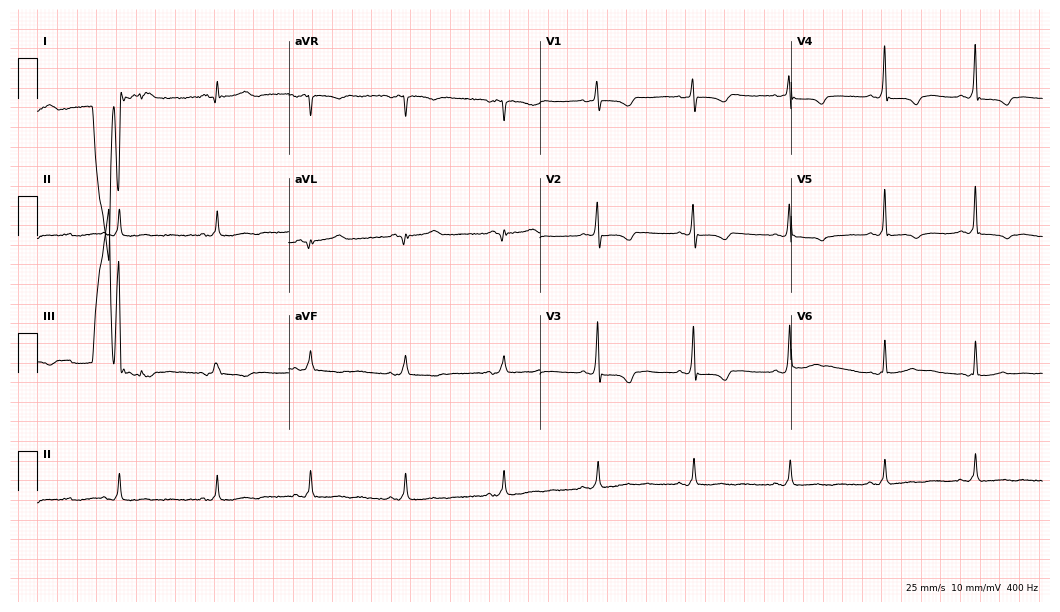
12-lead ECG (10.2-second recording at 400 Hz) from a 73-year-old woman. Screened for six findings — first-degree AV block, right bundle branch block, left bundle branch block, sinus bradycardia, atrial fibrillation, sinus tachycardia — none is recorded.